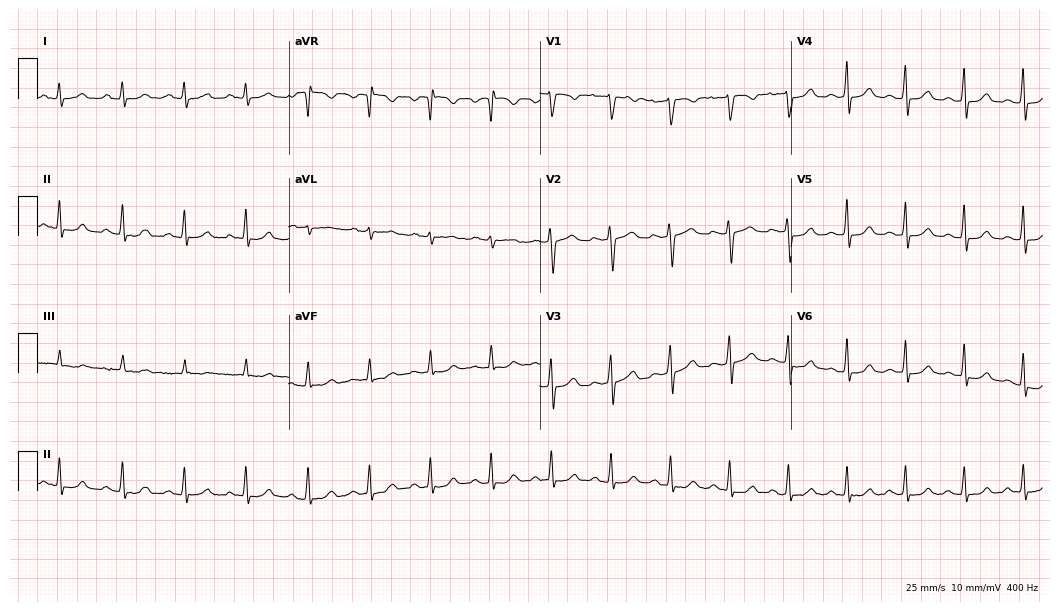
12-lead ECG (10.2-second recording at 400 Hz) from a 36-year-old female patient. Labelled as a normal ECG.